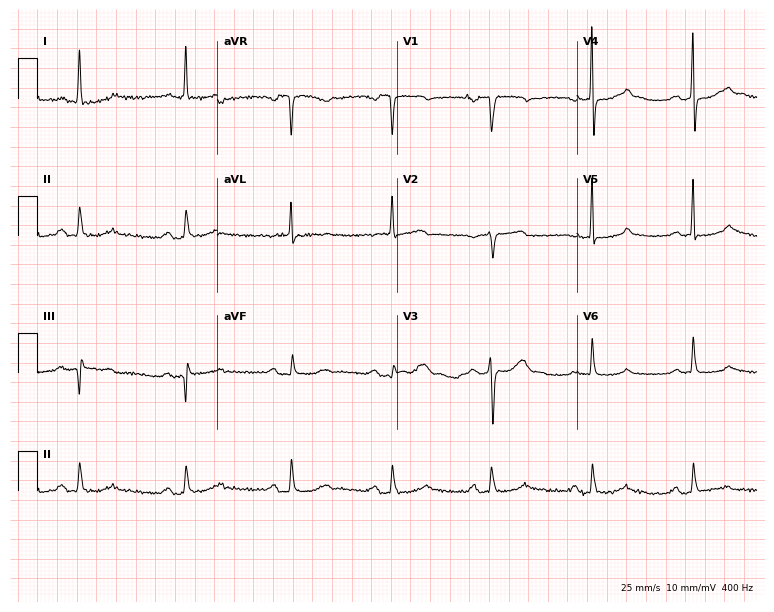
Resting 12-lead electrocardiogram. Patient: a female, 67 years old. Read as a normal ECG.